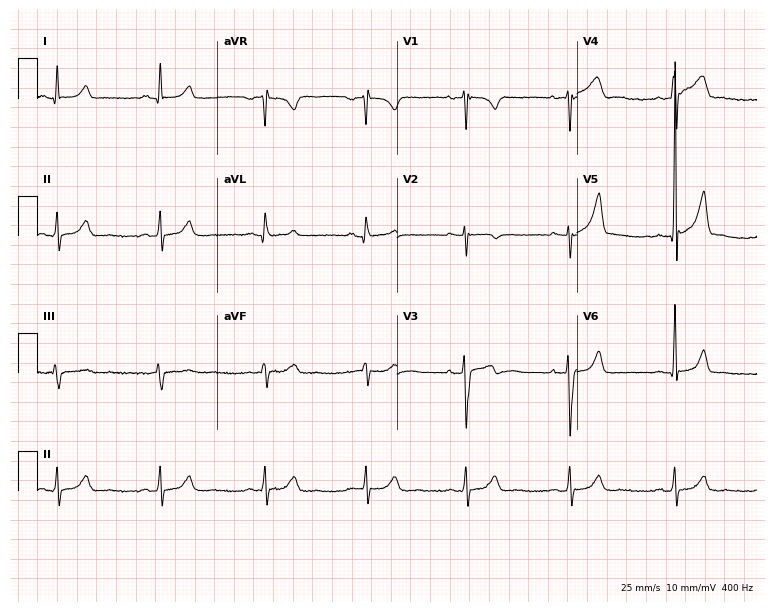
12-lead ECG (7.3-second recording at 400 Hz) from a male patient, 25 years old. Labelled as a normal ECG.